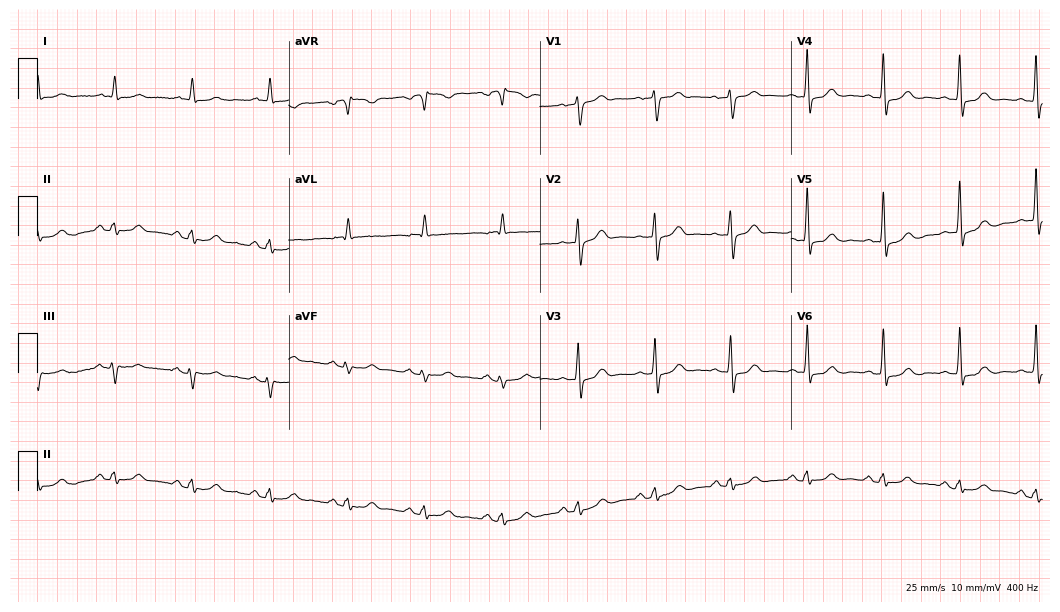
12-lead ECG from an 81-year-old man (10.2-second recording at 400 Hz). Recorded interpretation: within normal limits.